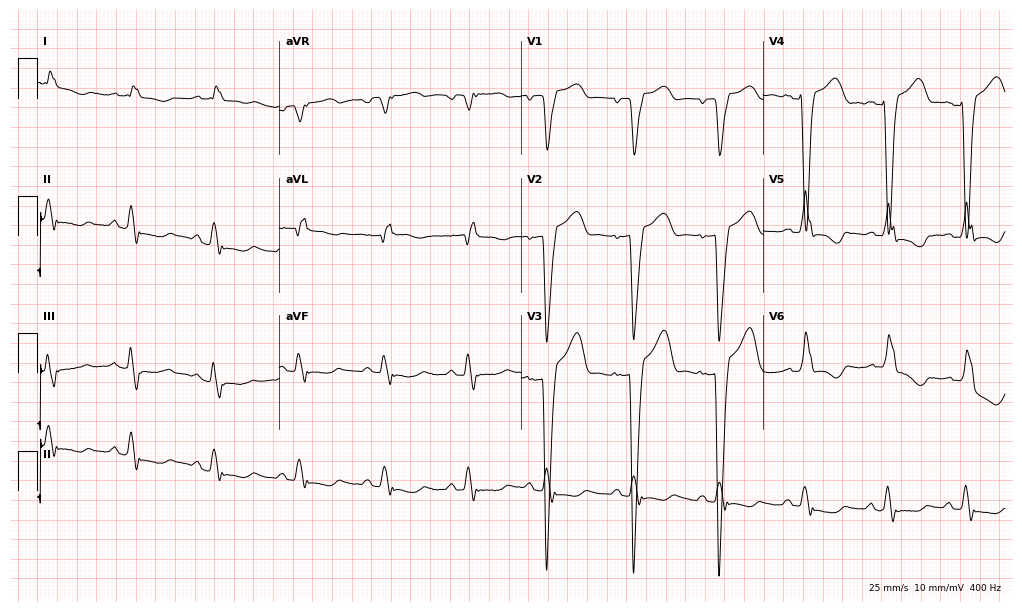
Electrocardiogram (9.9-second recording at 400 Hz), a 64-year-old female. Interpretation includes left bundle branch block (LBBB).